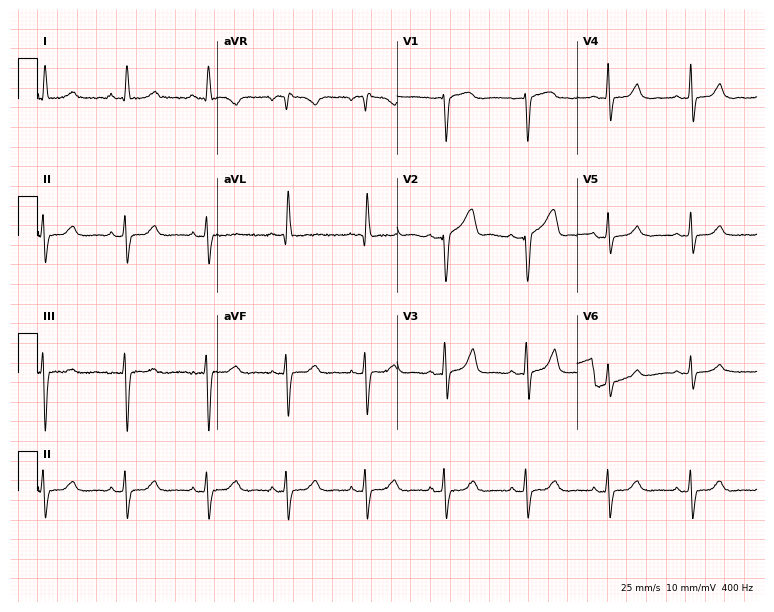
ECG — a 72-year-old female patient. Screened for six findings — first-degree AV block, right bundle branch block, left bundle branch block, sinus bradycardia, atrial fibrillation, sinus tachycardia — none is recorded. Other findings, if any, are not listed.